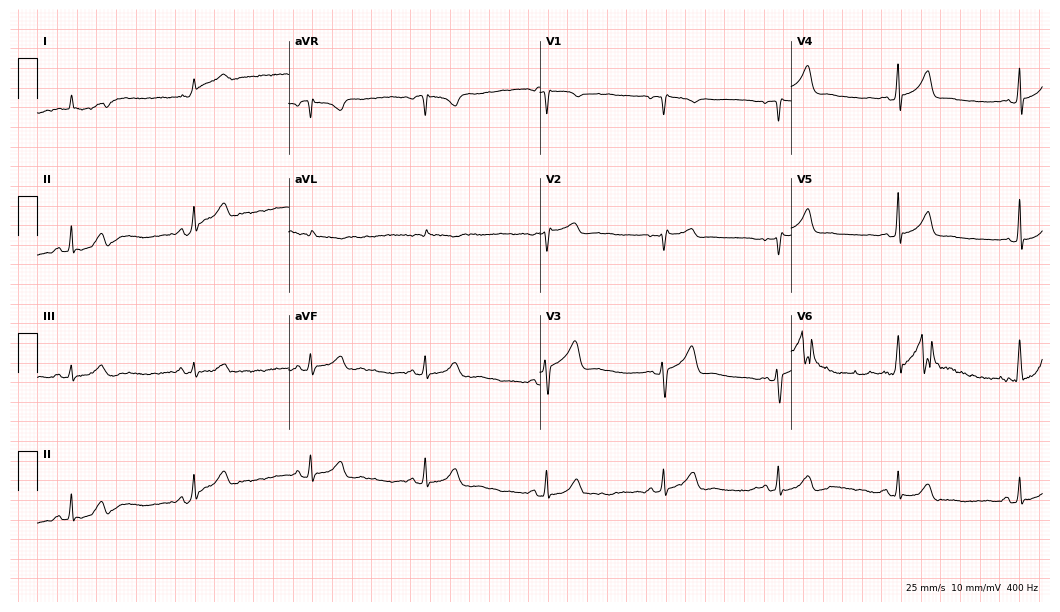
Resting 12-lead electrocardiogram. Patient: a 49-year-old man. None of these six findings is recorded: first-degree AV block, right bundle branch block (RBBB), left bundle branch block (LBBB), sinus bradycardia, atrial fibrillation (AF), sinus tachycardia.